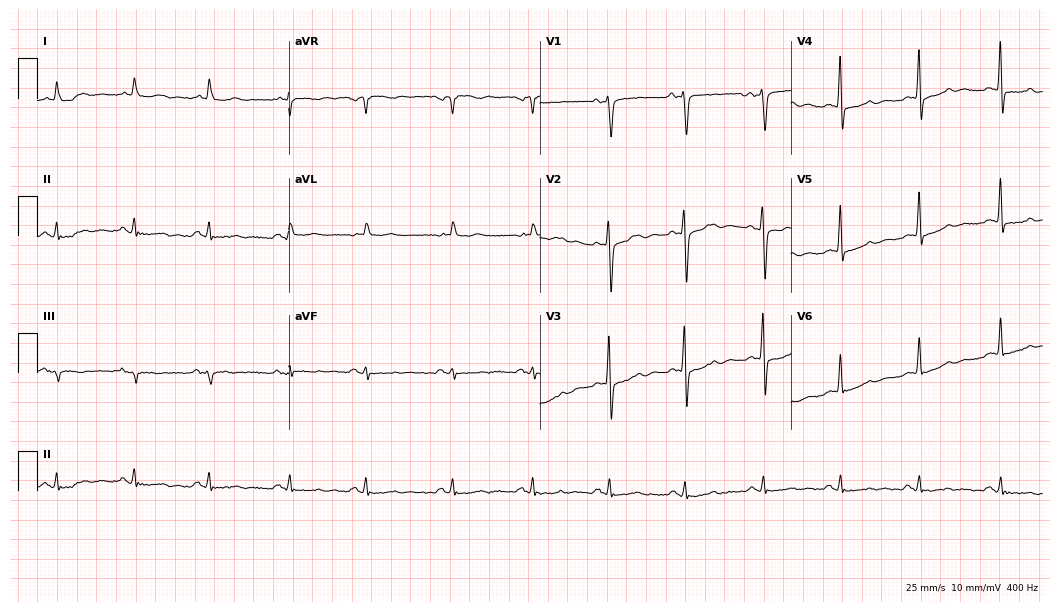
12-lead ECG from a 71-year-old man. Screened for six findings — first-degree AV block, right bundle branch block, left bundle branch block, sinus bradycardia, atrial fibrillation, sinus tachycardia — none is recorded. Other findings, if any, are not listed.